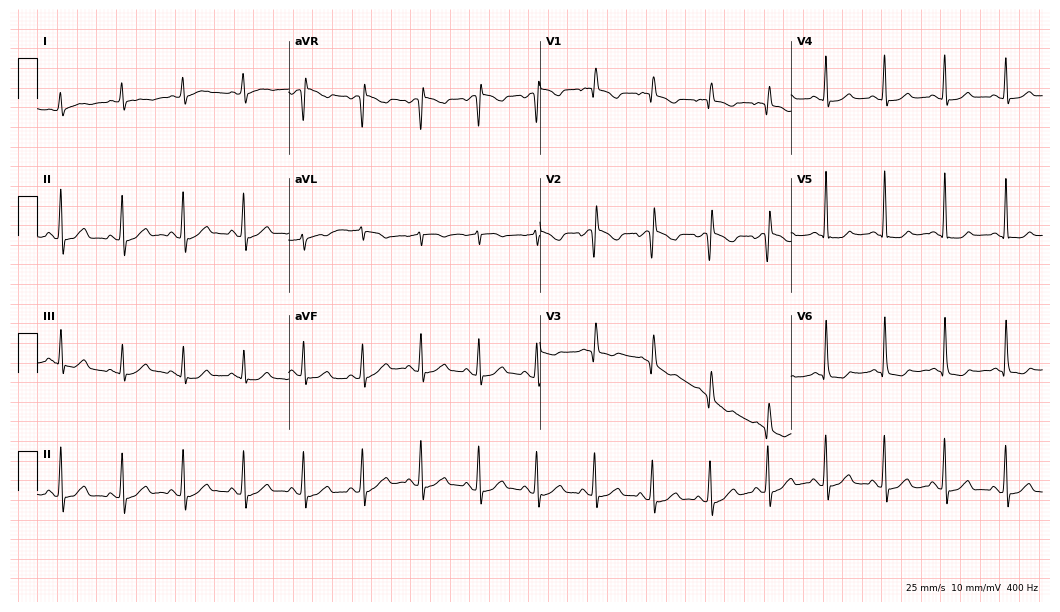
12-lead ECG from a female patient, 53 years old. No first-degree AV block, right bundle branch block, left bundle branch block, sinus bradycardia, atrial fibrillation or sinus tachycardia recorded for this tracing.